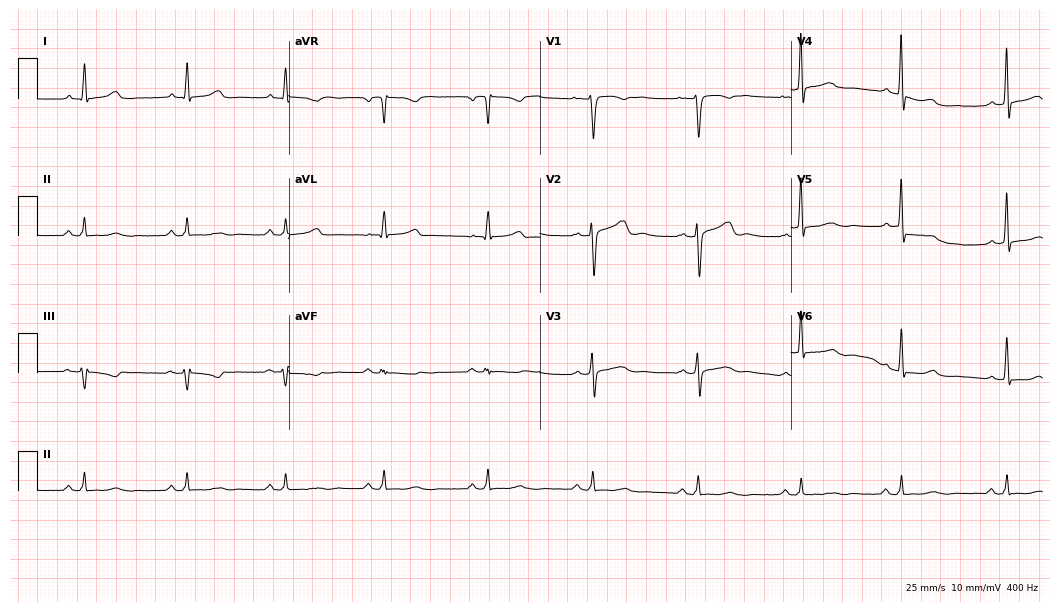
Resting 12-lead electrocardiogram (10.2-second recording at 400 Hz). Patient: a 46-year-old female. Read as a normal ECG.